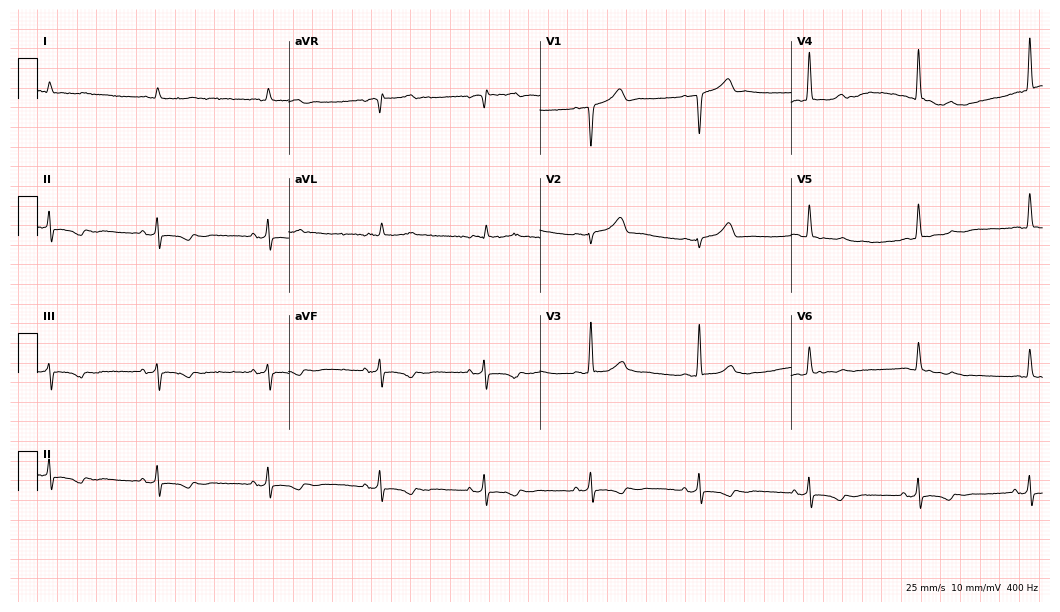
12-lead ECG (10.2-second recording at 400 Hz) from a man, 82 years old. Screened for six findings — first-degree AV block, right bundle branch block, left bundle branch block, sinus bradycardia, atrial fibrillation, sinus tachycardia — none is recorded.